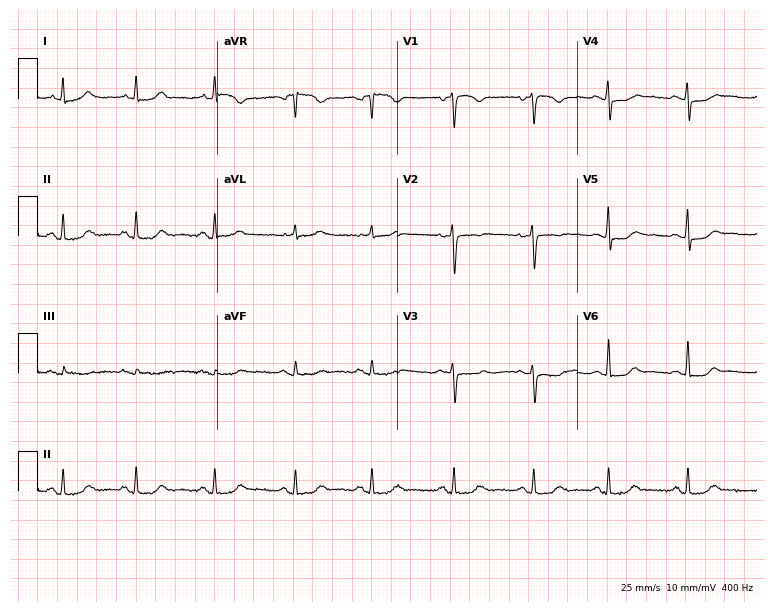
12-lead ECG (7.3-second recording at 400 Hz) from a 39-year-old female patient. Screened for six findings — first-degree AV block, right bundle branch block, left bundle branch block, sinus bradycardia, atrial fibrillation, sinus tachycardia — none is recorded. Findings outside these six are not listed.